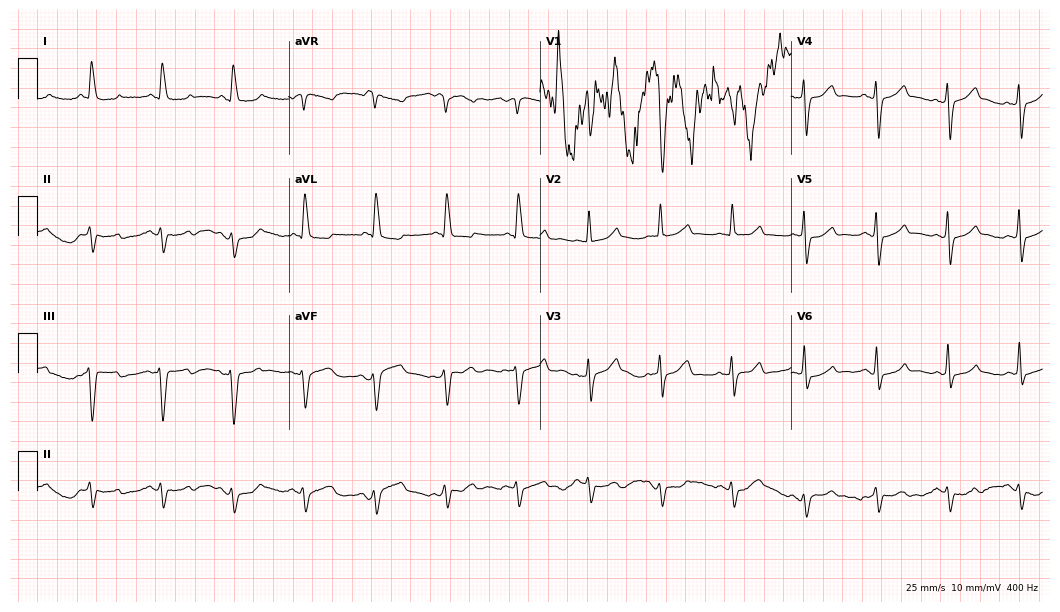
12-lead ECG from a 76-year-old female. No first-degree AV block, right bundle branch block, left bundle branch block, sinus bradycardia, atrial fibrillation or sinus tachycardia recorded for this tracing. Findings outside these six are not listed.